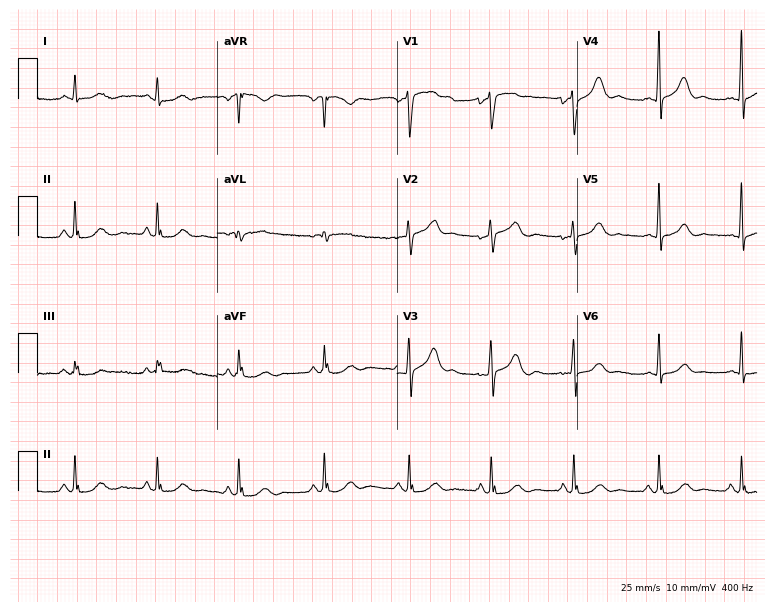
12-lead ECG from an 85-year-old male patient (7.3-second recording at 400 Hz). Recorded interpretation: within normal limits.